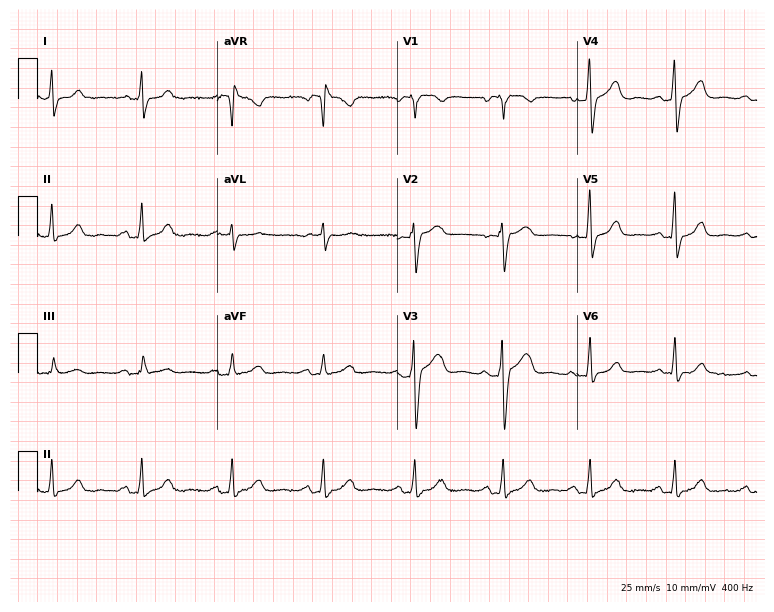
Electrocardiogram (7.3-second recording at 400 Hz), a 75-year-old woman. Of the six screened findings (first-degree AV block, right bundle branch block, left bundle branch block, sinus bradycardia, atrial fibrillation, sinus tachycardia), none is recorded.